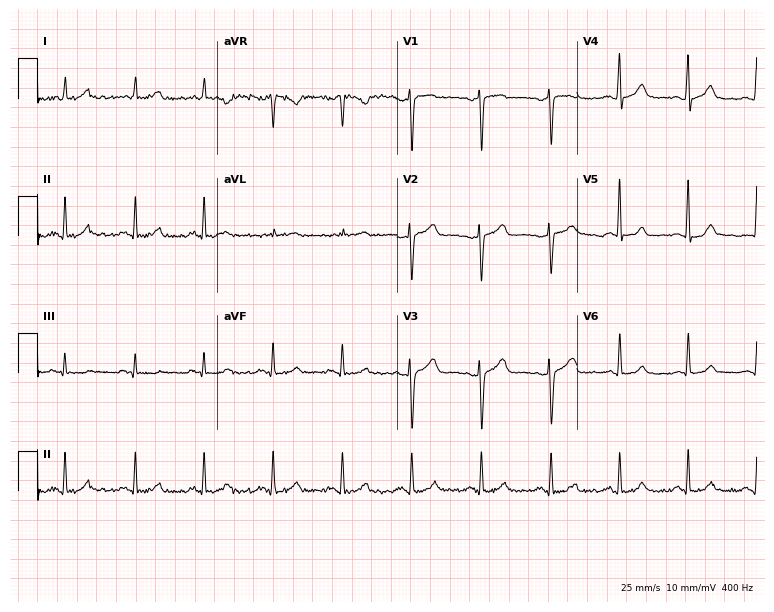
Resting 12-lead electrocardiogram. Patient: a 32-year-old female. None of these six findings is recorded: first-degree AV block, right bundle branch block, left bundle branch block, sinus bradycardia, atrial fibrillation, sinus tachycardia.